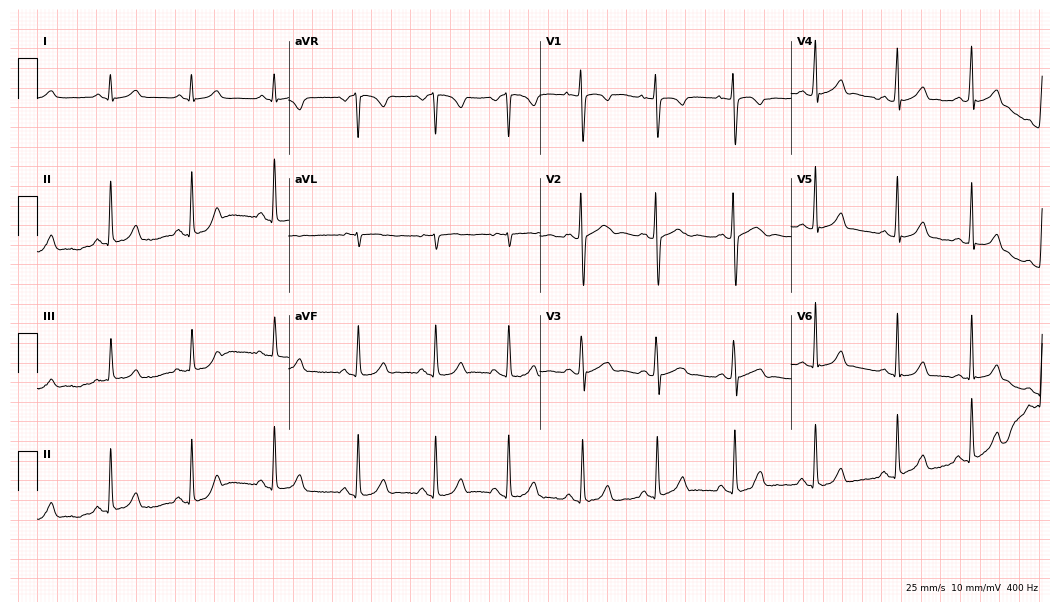
12-lead ECG from a 19-year-old female patient. Screened for six findings — first-degree AV block, right bundle branch block, left bundle branch block, sinus bradycardia, atrial fibrillation, sinus tachycardia — none is recorded. Other findings, if any, are not listed.